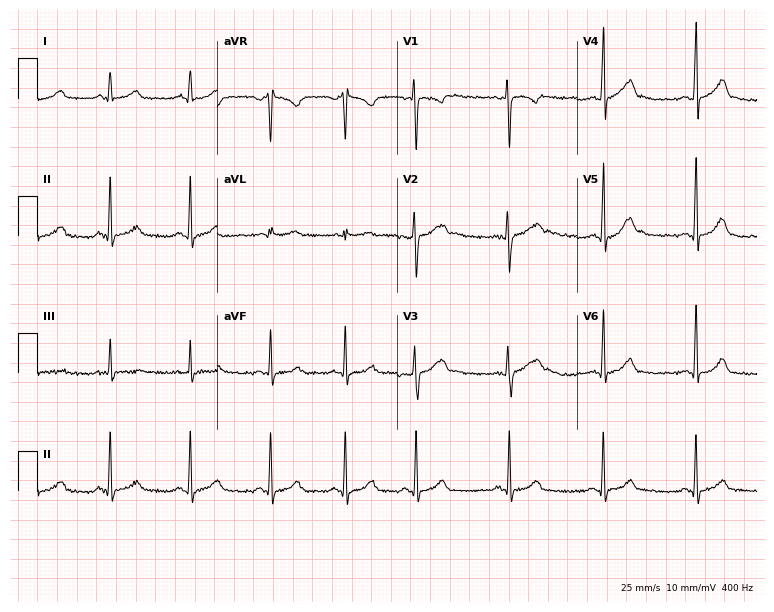
Standard 12-lead ECG recorded from a 19-year-old female patient. Read as a normal ECG.